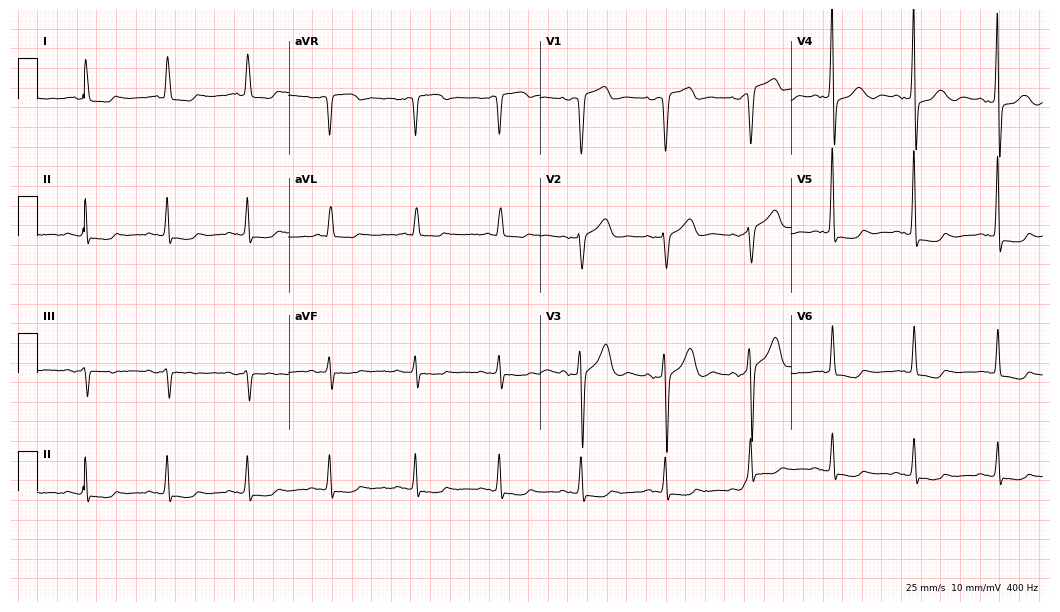
Resting 12-lead electrocardiogram (10.2-second recording at 400 Hz). Patient: a male, 72 years old. None of these six findings is recorded: first-degree AV block, right bundle branch block, left bundle branch block, sinus bradycardia, atrial fibrillation, sinus tachycardia.